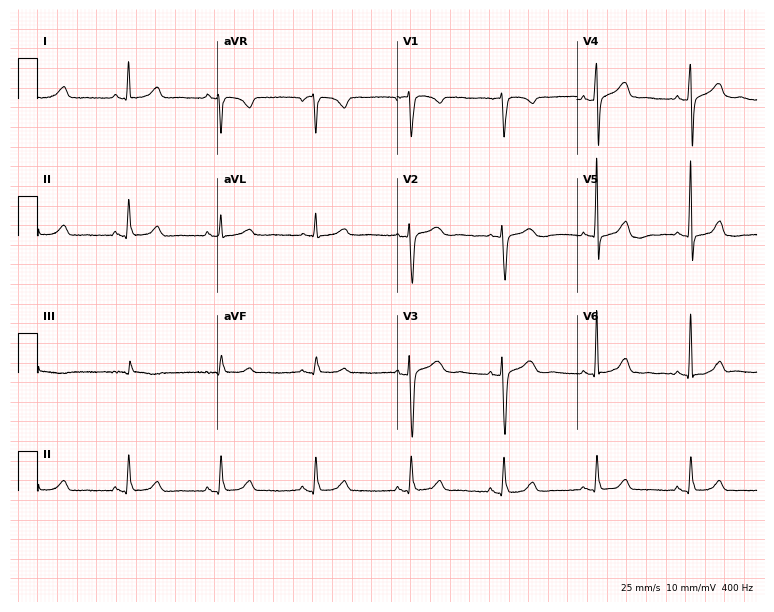
Electrocardiogram, a 58-year-old female. Of the six screened findings (first-degree AV block, right bundle branch block, left bundle branch block, sinus bradycardia, atrial fibrillation, sinus tachycardia), none is recorded.